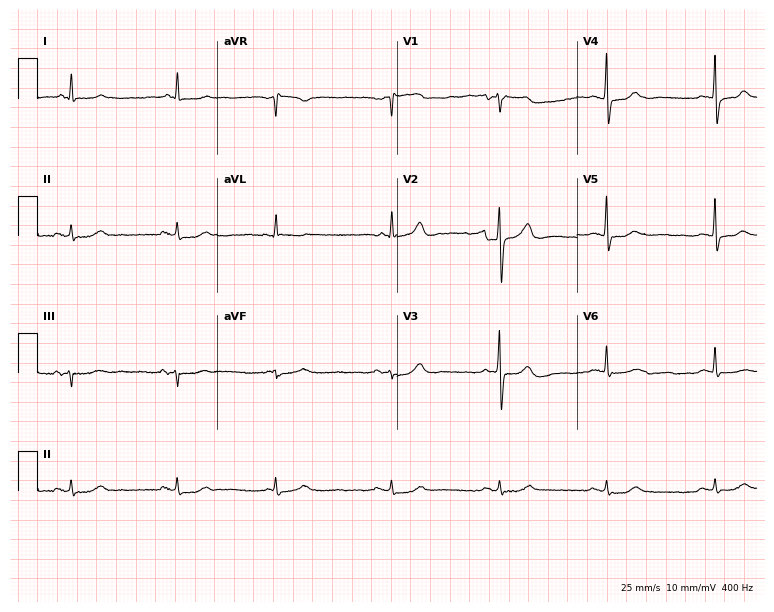
Standard 12-lead ECG recorded from a male patient, 70 years old (7.3-second recording at 400 Hz). Read as a normal ECG.